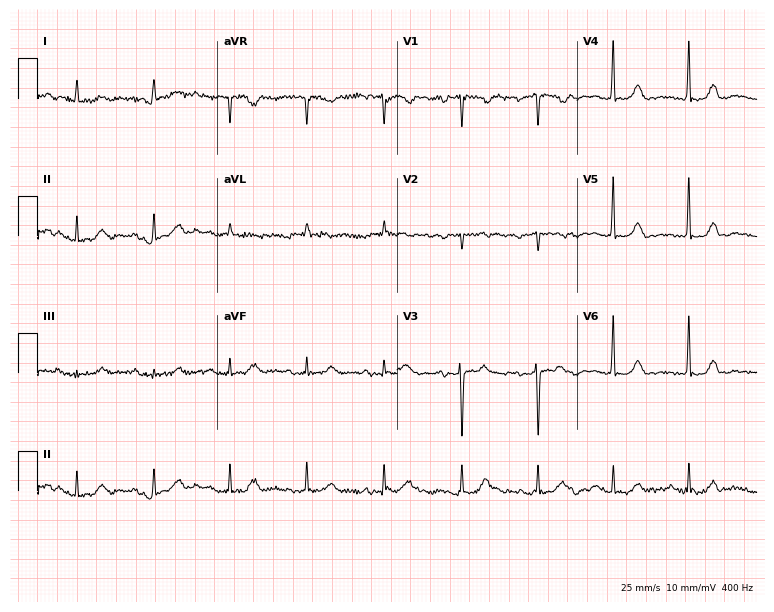
12-lead ECG from an 81-year-old female. Labelled as a normal ECG.